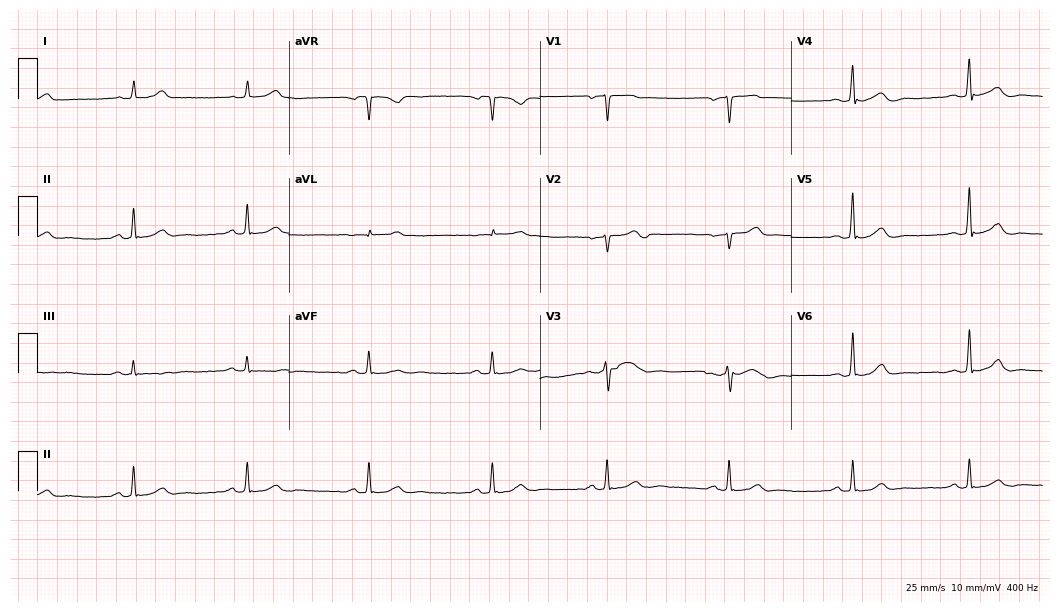
Electrocardiogram, a 48-year-old man. Interpretation includes sinus bradycardia (a sinus rate of 50 beats per minute or less).